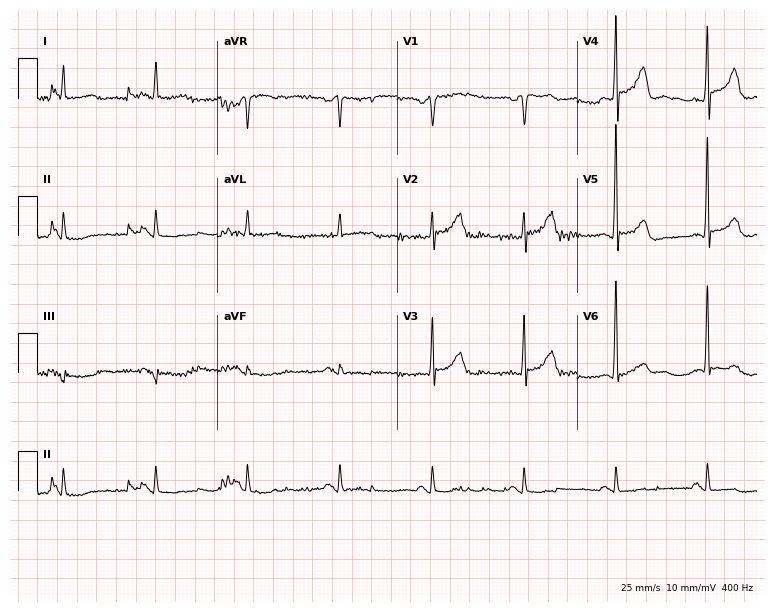
Standard 12-lead ECG recorded from a male patient, 63 years old. None of these six findings is recorded: first-degree AV block, right bundle branch block (RBBB), left bundle branch block (LBBB), sinus bradycardia, atrial fibrillation (AF), sinus tachycardia. Findings outside these six are not listed.